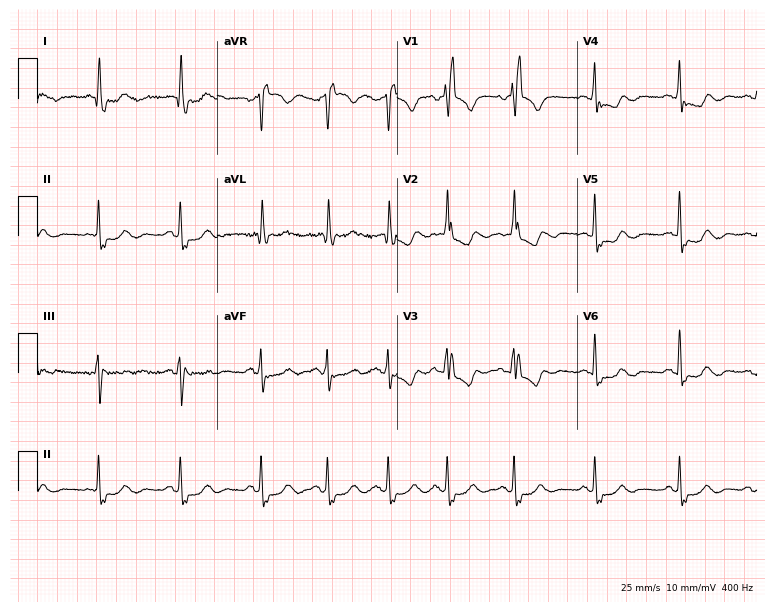
12-lead ECG from a 75-year-old woman. Shows right bundle branch block.